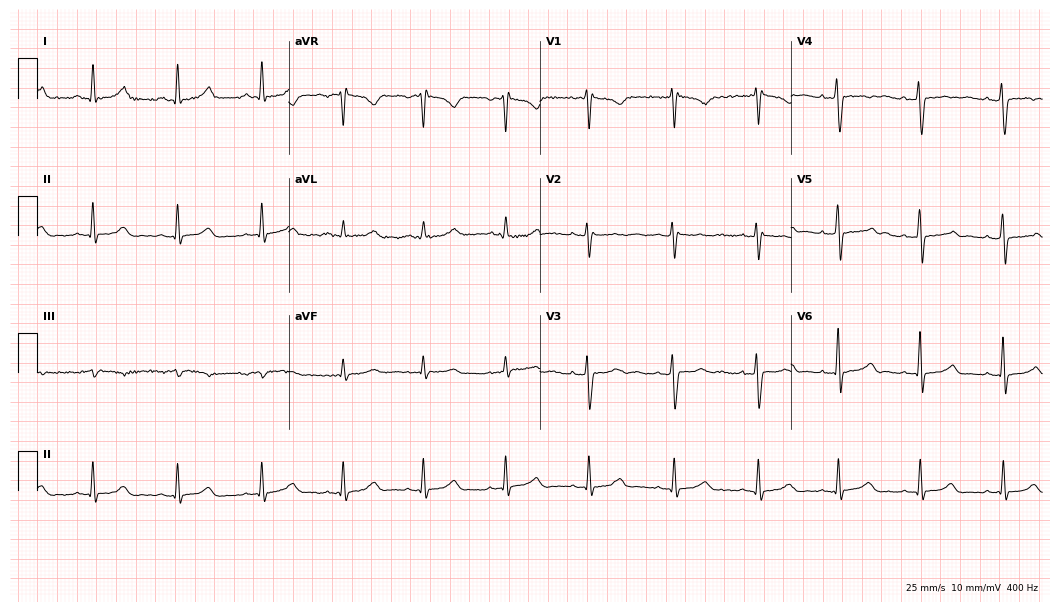
Standard 12-lead ECG recorded from a 40-year-old female patient (10.2-second recording at 400 Hz). None of these six findings is recorded: first-degree AV block, right bundle branch block, left bundle branch block, sinus bradycardia, atrial fibrillation, sinus tachycardia.